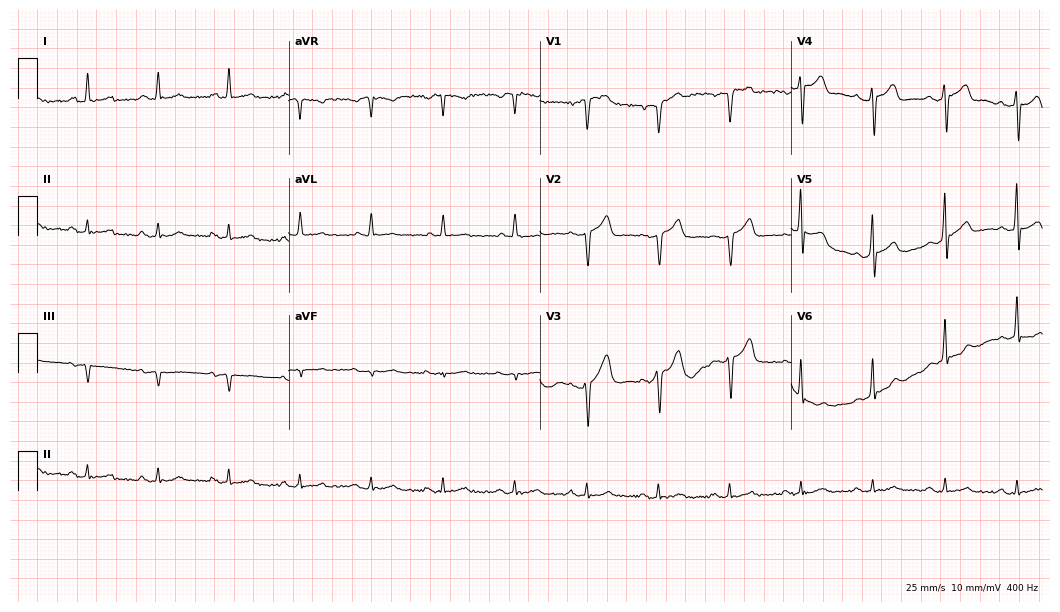
Resting 12-lead electrocardiogram (10.2-second recording at 400 Hz). Patient: a male, 66 years old. None of these six findings is recorded: first-degree AV block, right bundle branch block, left bundle branch block, sinus bradycardia, atrial fibrillation, sinus tachycardia.